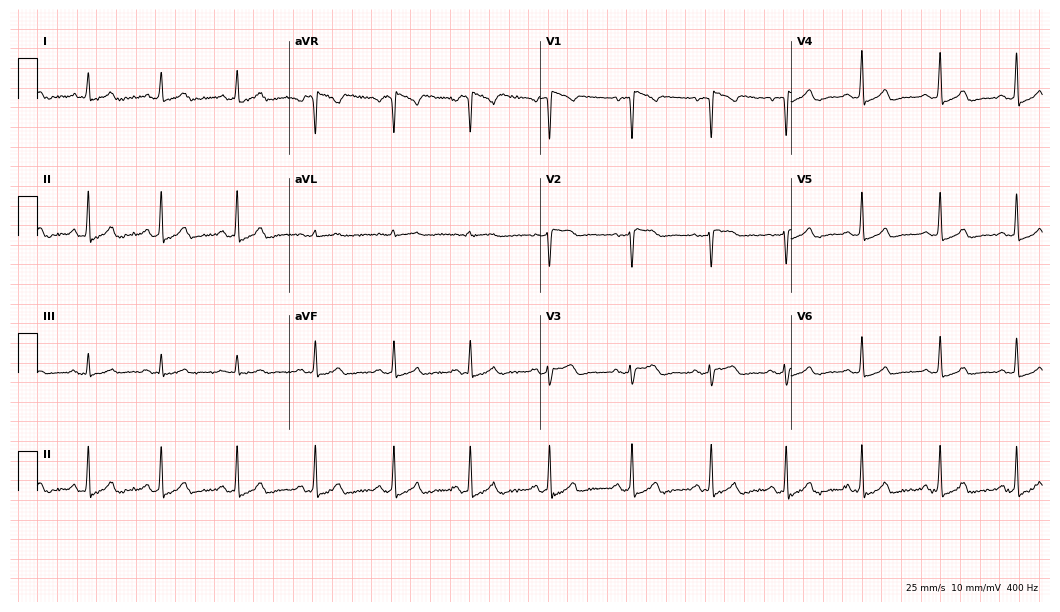
Standard 12-lead ECG recorded from a 33-year-old woman. None of these six findings is recorded: first-degree AV block, right bundle branch block (RBBB), left bundle branch block (LBBB), sinus bradycardia, atrial fibrillation (AF), sinus tachycardia. Other findings, if any, are not listed.